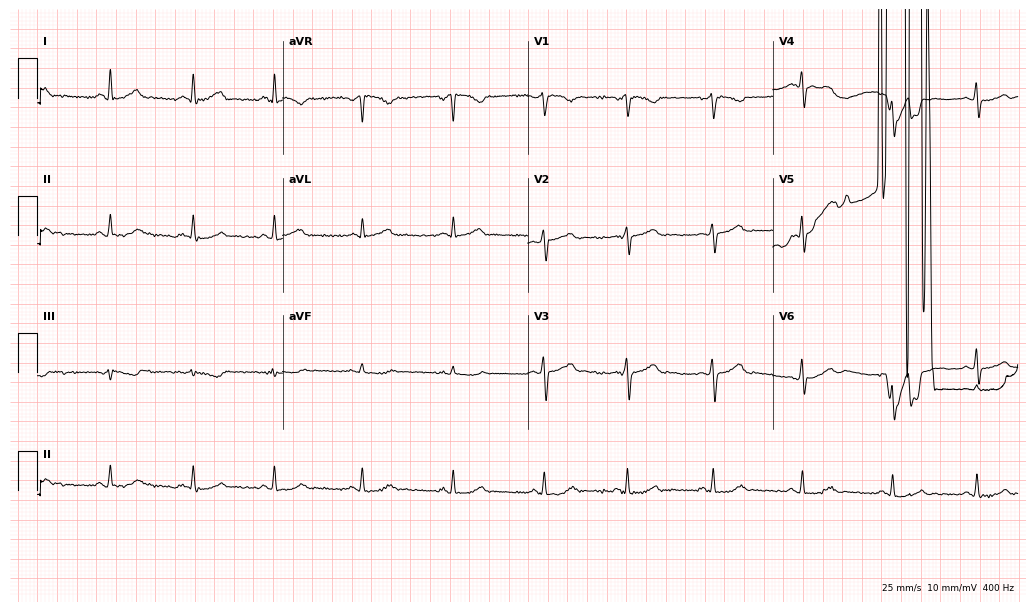
12-lead ECG (10-second recording at 400 Hz) from a female patient, 29 years old. Screened for six findings — first-degree AV block, right bundle branch block (RBBB), left bundle branch block (LBBB), sinus bradycardia, atrial fibrillation (AF), sinus tachycardia — none is recorded.